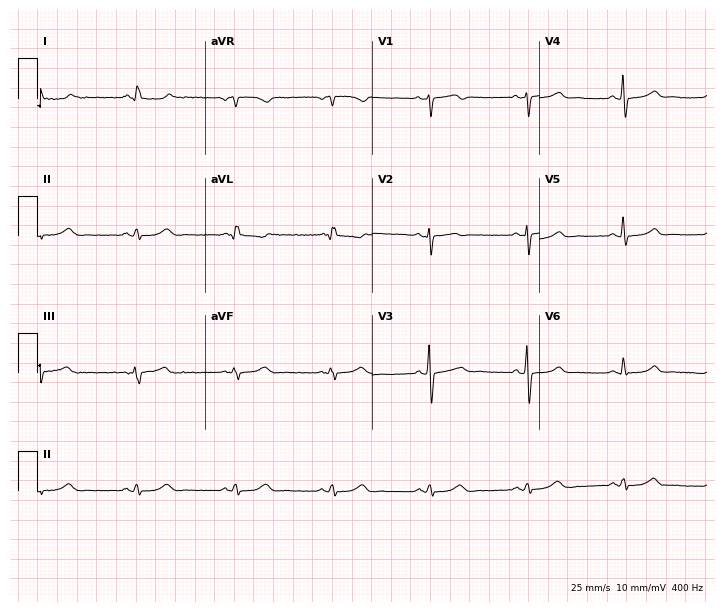
12-lead ECG (6.8-second recording at 400 Hz) from a 51-year-old male patient. Labelled as a normal ECG.